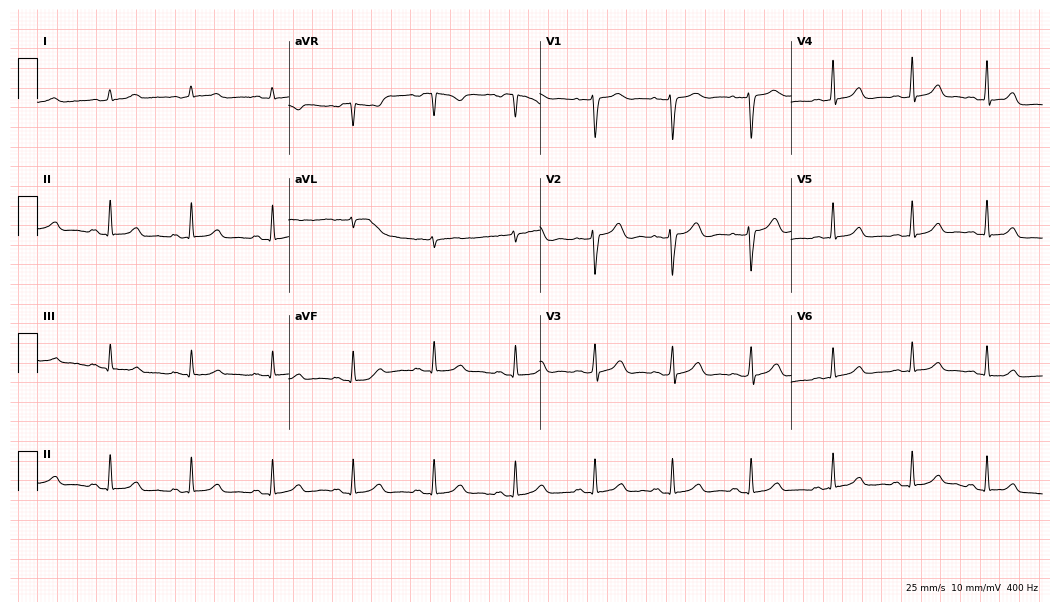
12-lead ECG from a female patient, 41 years old. Labelled as a normal ECG.